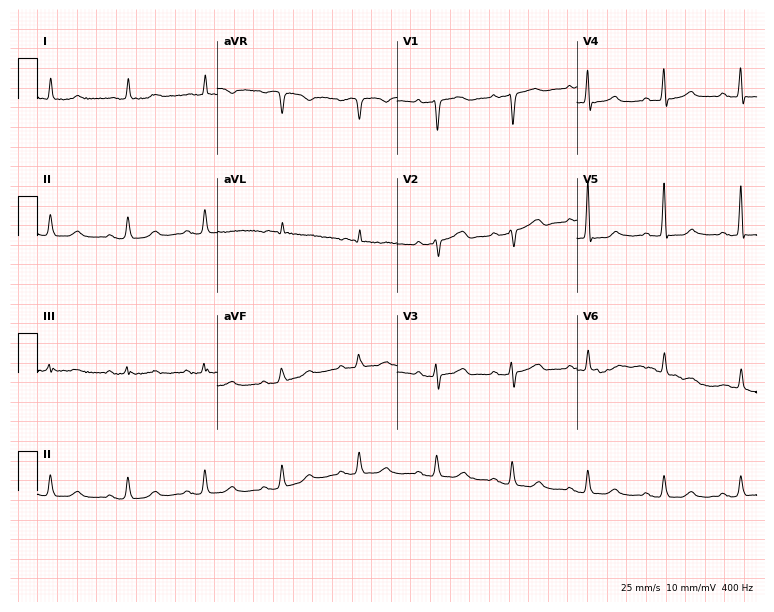
Resting 12-lead electrocardiogram (7.3-second recording at 400 Hz). Patient: a male, 82 years old. None of these six findings is recorded: first-degree AV block, right bundle branch block, left bundle branch block, sinus bradycardia, atrial fibrillation, sinus tachycardia.